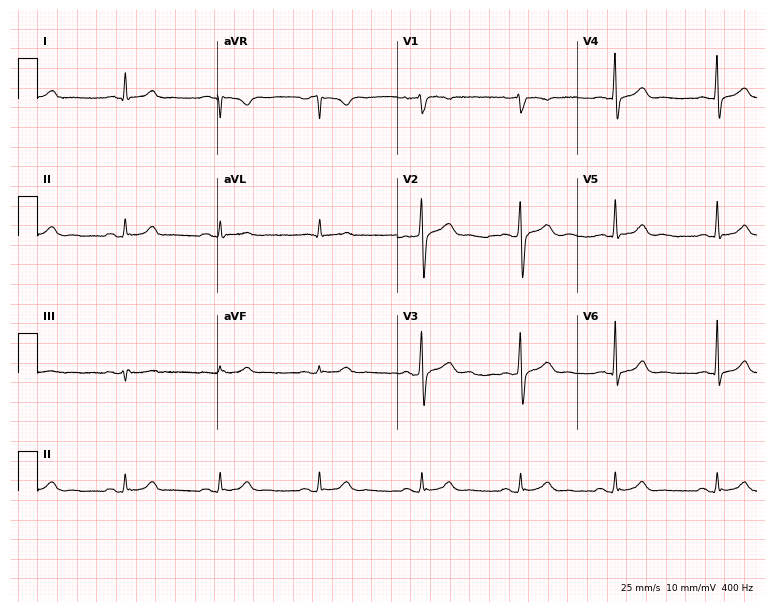
12-lead ECG (7.3-second recording at 400 Hz) from a male patient, 50 years old. Labelled as a normal ECG.